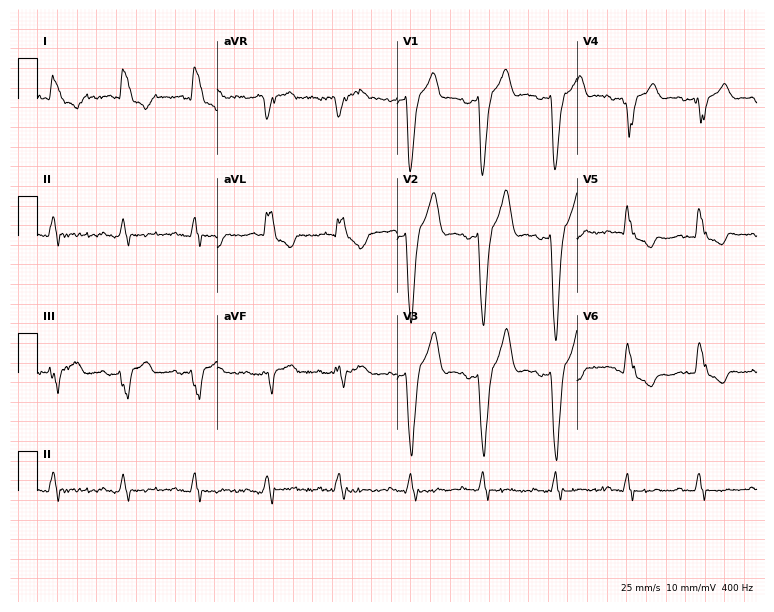
12-lead ECG from an 84-year-old male. Findings include left bundle branch block.